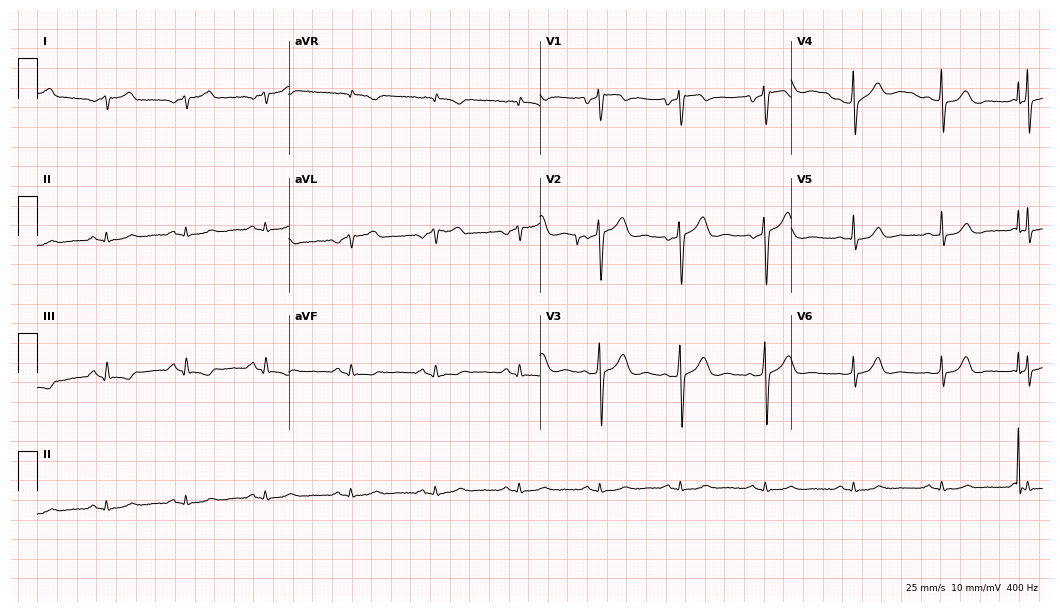
Resting 12-lead electrocardiogram. Patient: a 59-year-old male. None of these six findings is recorded: first-degree AV block, right bundle branch block, left bundle branch block, sinus bradycardia, atrial fibrillation, sinus tachycardia.